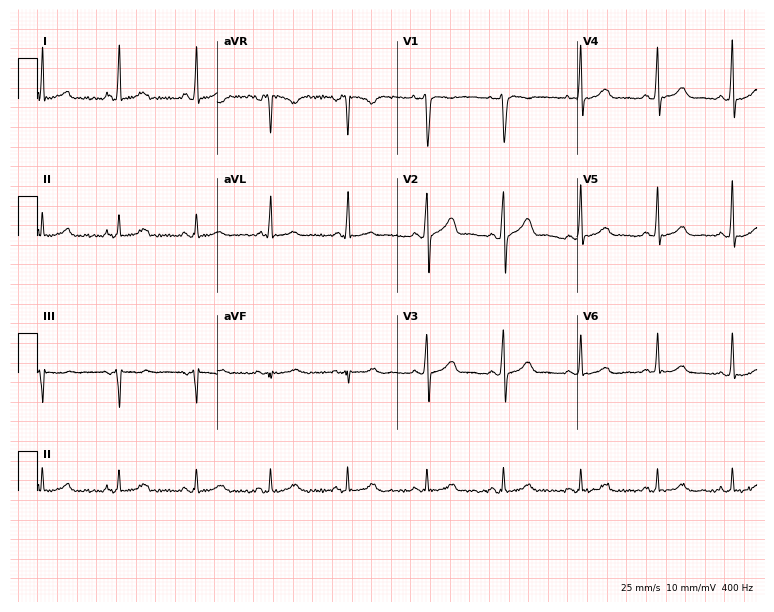
Standard 12-lead ECG recorded from a female, 44 years old (7.3-second recording at 400 Hz). Read as a normal ECG.